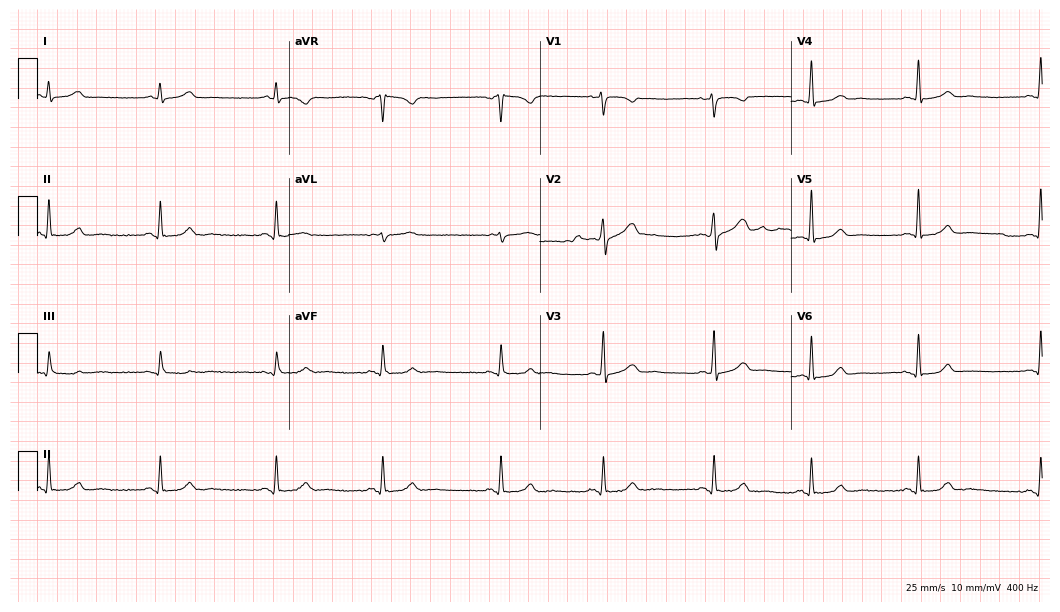
12-lead ECG from a woman, 39 years old (10.2-second recording at 400 Hz). No first-degree AV block, right bundle branch block (RBBB), left bundle branch block (LBBB), sinus bradycardia, atrial fibrillation (AF) or sinus tachycardia recorded for this tracing. Findings outside these six are not listed.